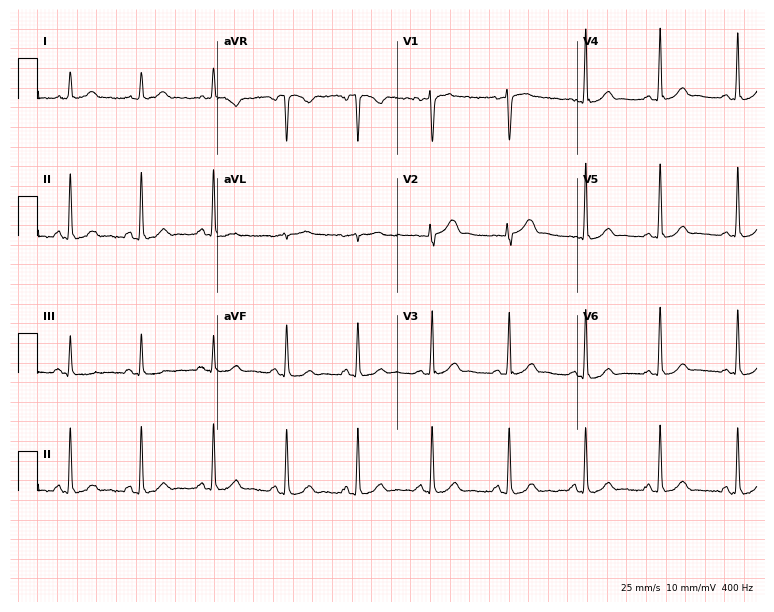
12-lead ECG (7.3-second recording at 400 Hz) from a female patient, 33 years old. Labelled as a normal ECG.